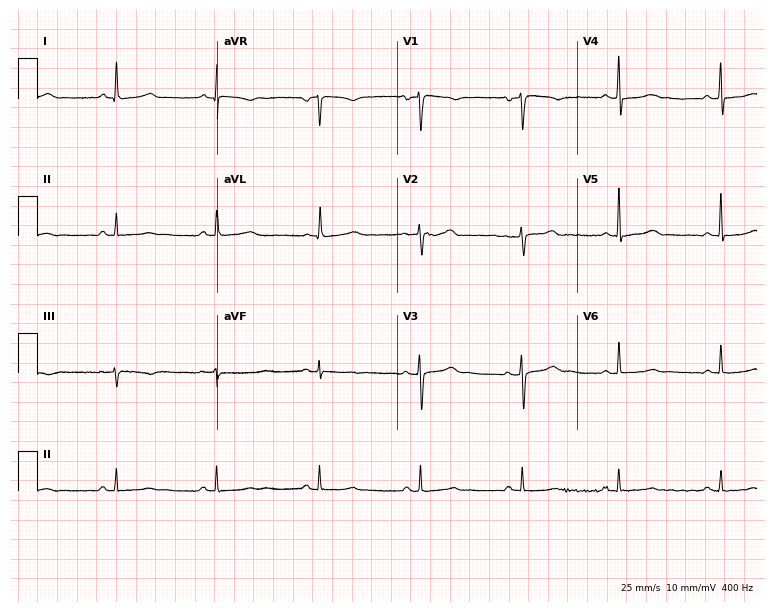
12-lead ECG from a female patient, 56 years old. No first-degree AV block, right bundle branch block (RBBB), left bundle branch block (LBBB), sinus bradycardia, atrial fibrillation (AF) or sinus tachycardia recorded for this tracing.